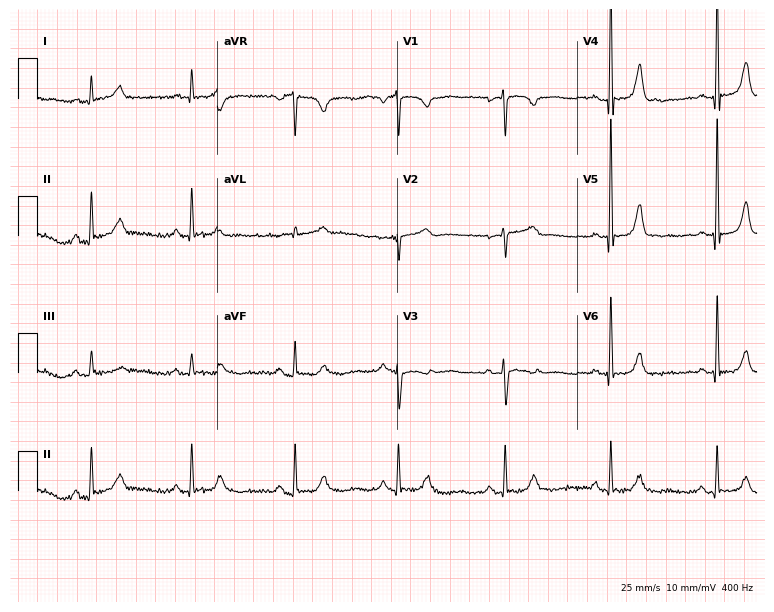
Resting 12-lead electrocardiogram. Patient: a 67-year-old female. None of these six findings is recorded: first-degree AV block, right bundle branch block, left bundle branch block, sinus bradycardia, atrial fibrillation, sinus tachycardia.